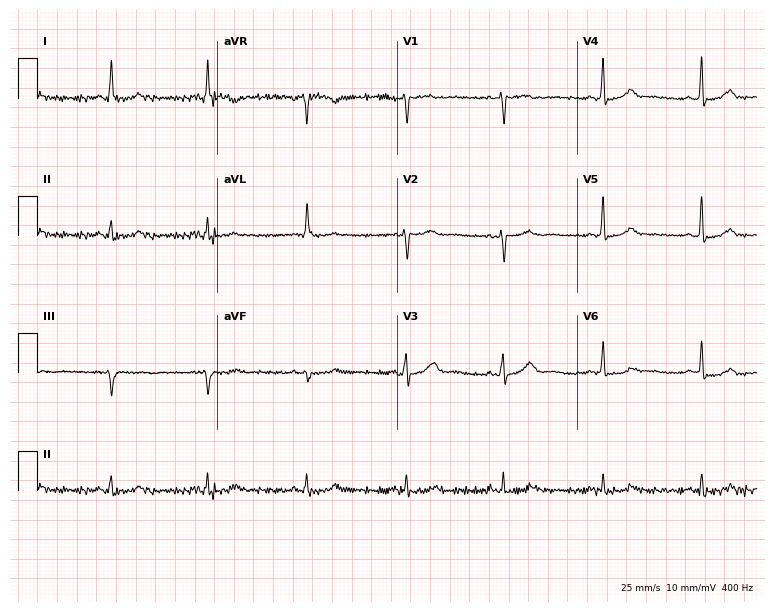
ECG — a woman, 51 years old. Screened for six findings — first-degree AV block, right bundle branch block, left bundle branch block, sinus bradycardia, atrial fibrillation, sinus tachycardia — none is recorded.